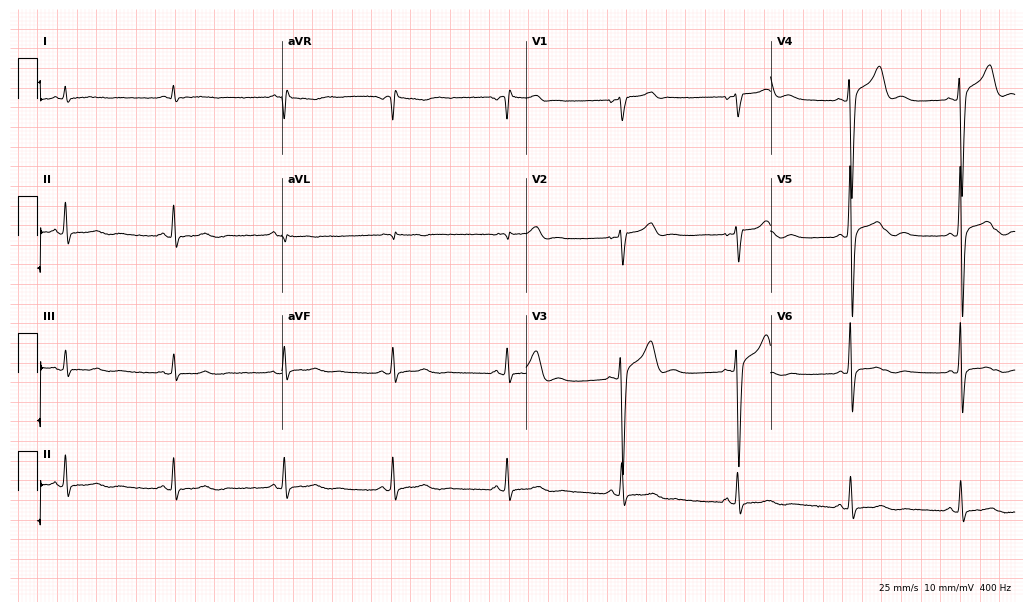
ECG (10-second recording at 400 Hz) — a male, 50 years old. Screened for six findings — first-degree AV block, right bundle branch block, left bundle branch block, sinus bradycardia, atrial fibrillation, sinus tachycardia — none is recorded. Only these six findings were labelled.